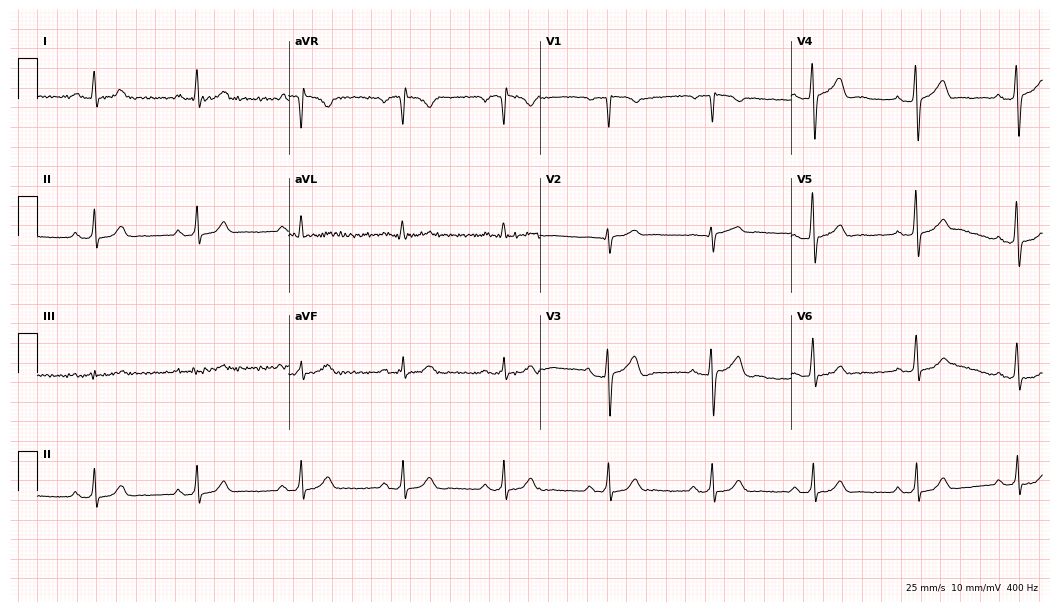
Standard 12-lead ECG recorded from a male patient, 49 years old. Read as a normal ECG.